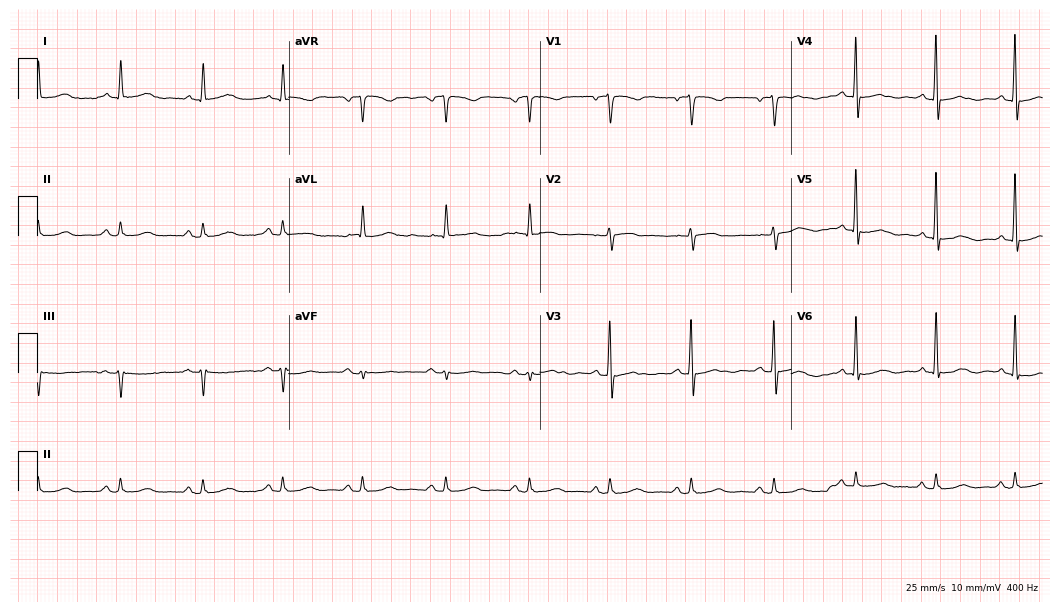
ECG (10.2-second recording at 400 Hz) — an 82-year-old female. Screened for six findings — first-degree AV block, right bundle branch block (RBBB), left bundle branch block (LBBB), sinus bradycardia, atrial fibrillation (AF), sinus tachycardia — none is recorded. Only these six findings were labelled.